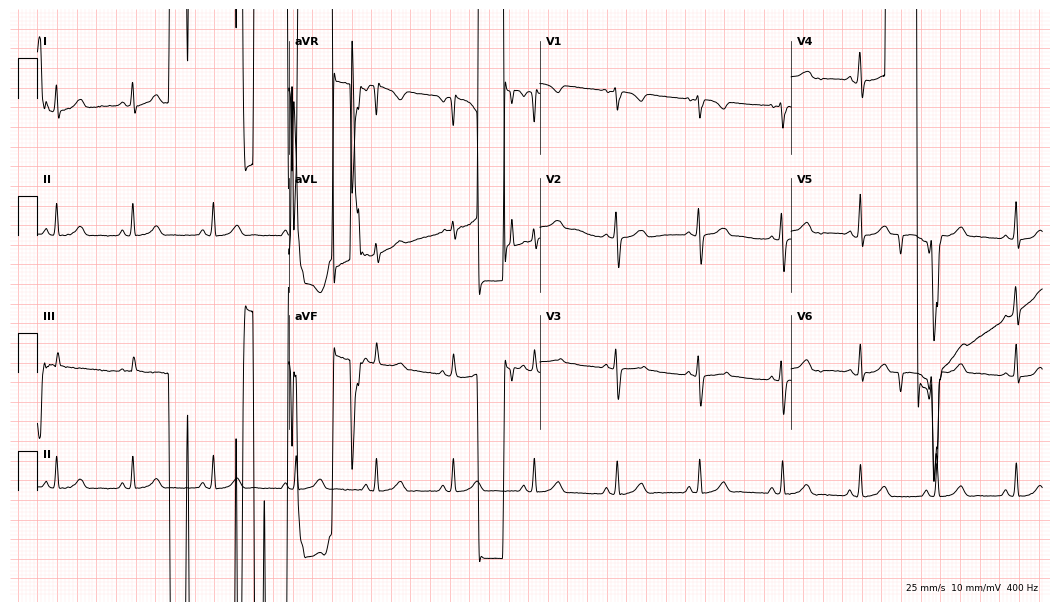
Electrocardiogram (10.2-second recording at 400 Hz), a 21-year-old female. Of the six screened findings (first-degree AV block, right bundle branch block, left bundle branch block, sinus bradycardia, atrial fibrillation, sinus tachycardia), none is recorded. Only these six findings were labelled.